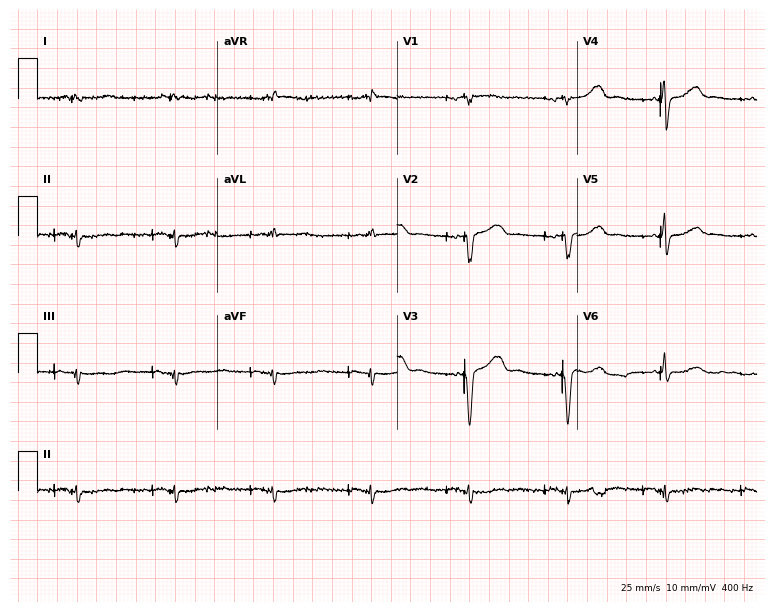
Resting 12-lead electrocardiogram (7.3-second recording at 400 Hz). Patient: a 51-year-old man. None of these six findings is recorded: first-degree AV block, right bundle branch block, left bundle branch block, sinus bradycardia, atrial fibrillation, sinus tachycardia.